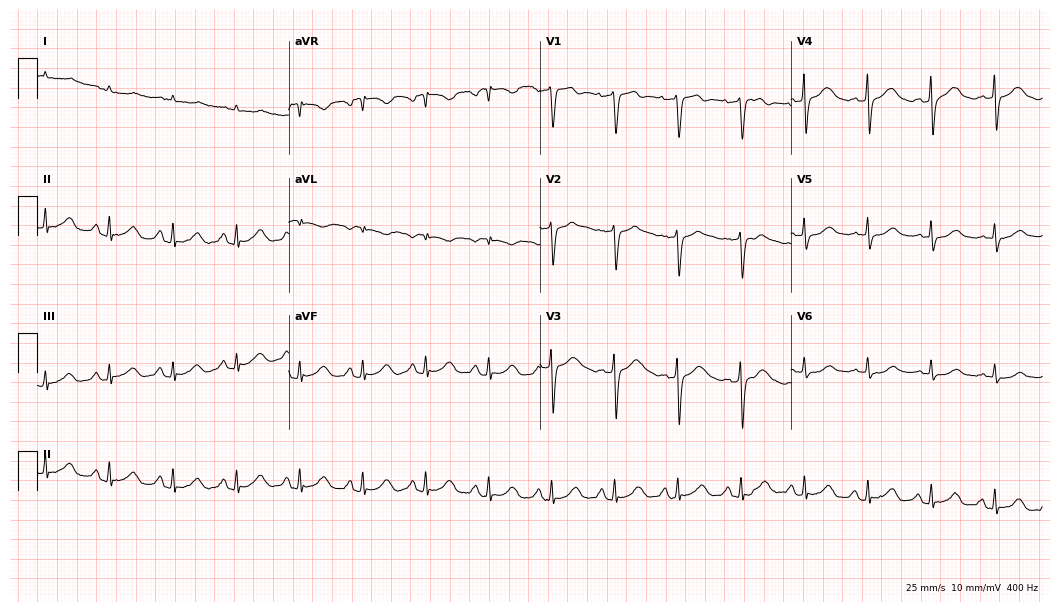
Standard 12-lead ECG recorded from a 68-year-old male (10.2-second recording at 400 Hz). None of these six findings is recorded: first-degree AV block, right bundle branch block, left bundle branch block, sinus bradycardia, atrial fibrillation, sinus tachycardia.